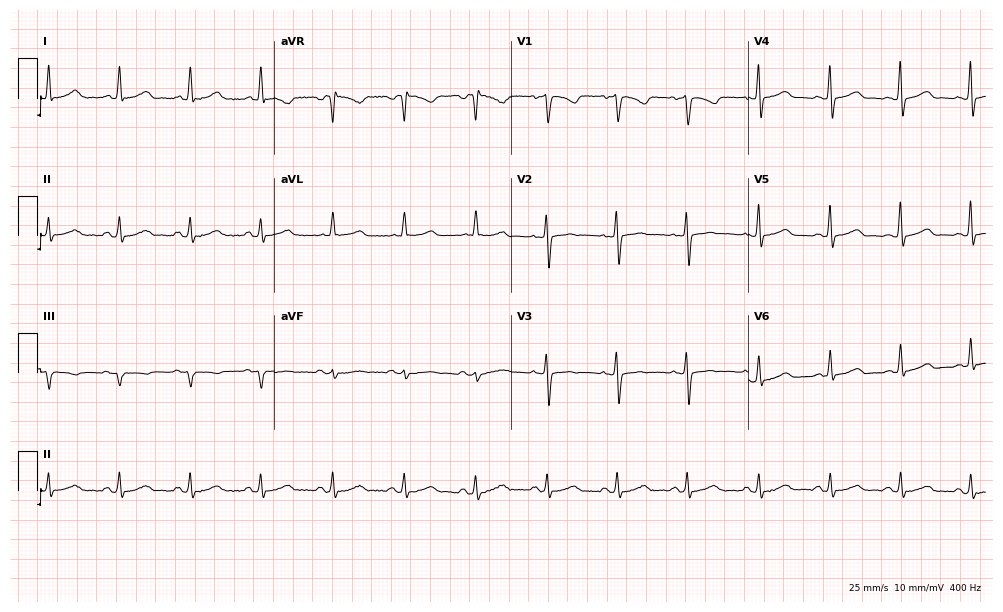
12-lead ECG (9.7-second recording at 400 Hz) from a female, 52 years old. Labelled as a normal ECG.